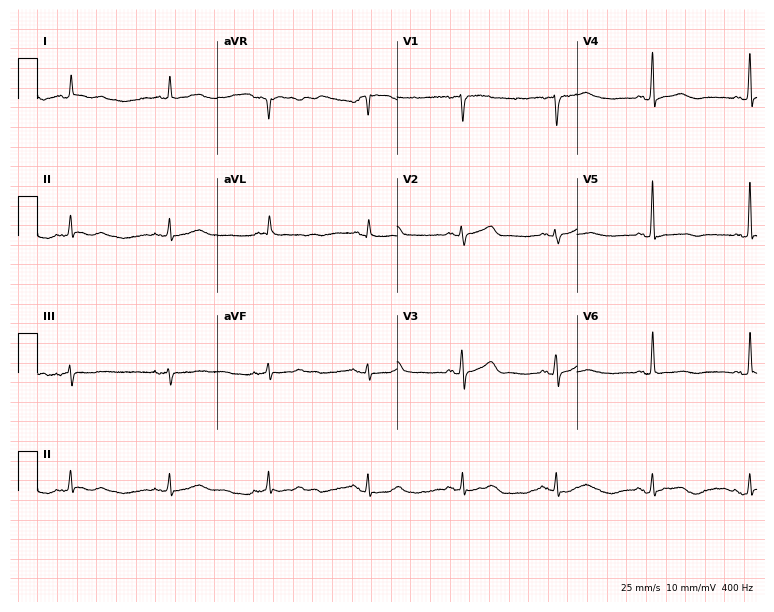
Standard 12-lead ECG recorded from a 49-year-old female (7.3-second recording at 400 Hz). None of these six findings is recorded: first-degree AV block, right bundle branch block (RBBB), left bundle branch block (LBBB), sinus bradycardia, atrial fibrillation (AF), sinus tachycardia. Findings outside these six are not listed.